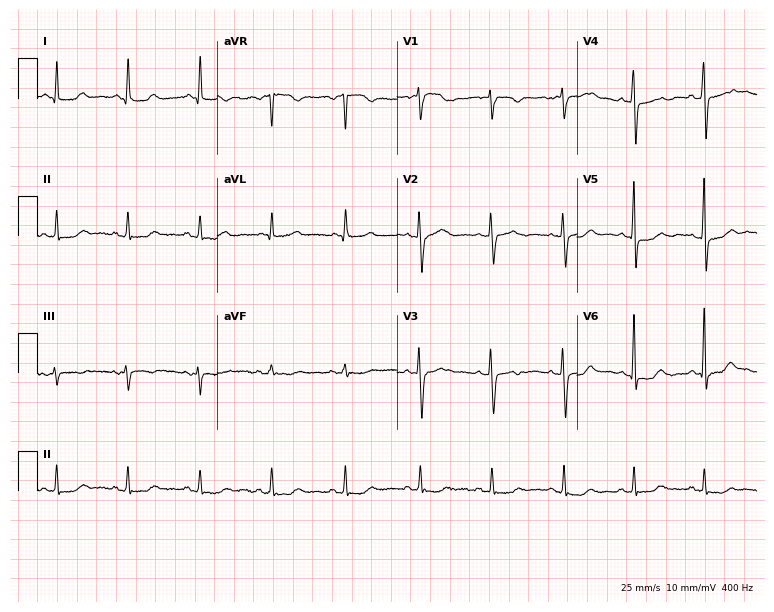
Electrocardiogram, a woman, 75 years old. Of the six screened findings (first-degree AV block, right bundle branch block (RBBB), left bundle branch block (LBBB), sinus bradycardia, atrial fibrillation (AF), sinus tachycardia), none is recorded. Findings outside these six are not listed.